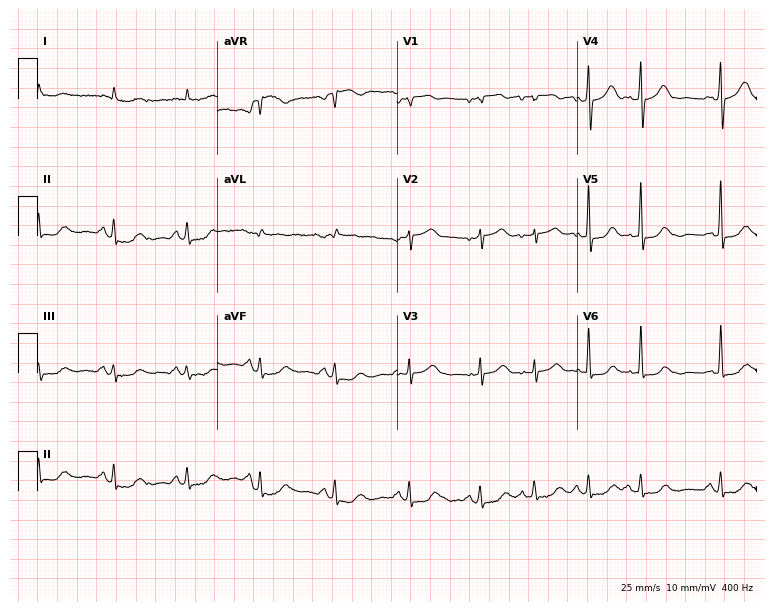
12-lead ECG from a 77-year-old female. No first-degree AV block, right bundle branch block, left bundle branch block, sinus bradycardia, atrial fibrillation or sinus tachycardia recorded for this tracing.